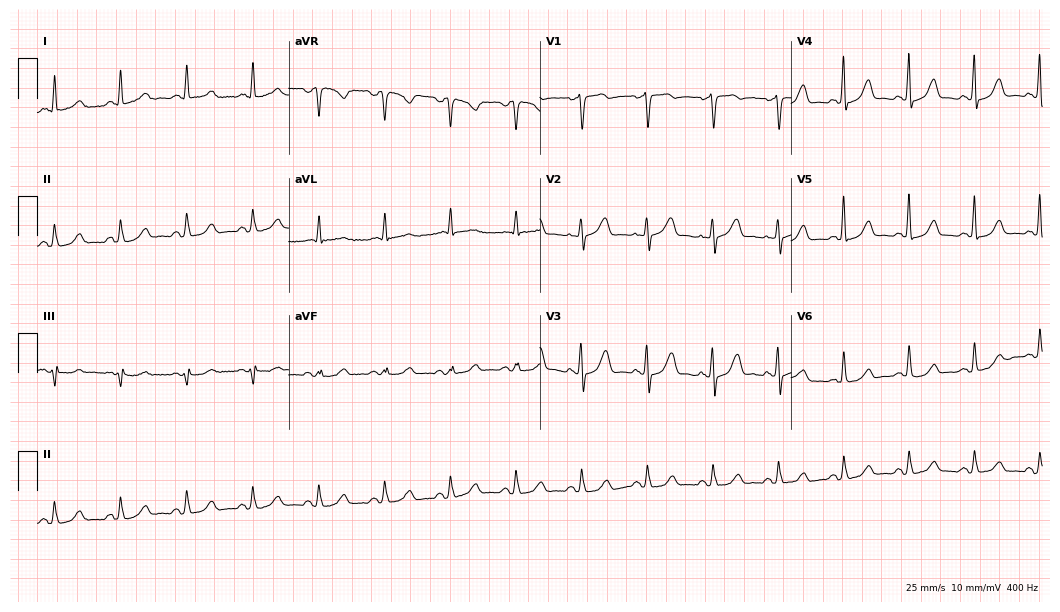
12-lead ECG from a woman, 60 years old. Labelled as a normal ECG.